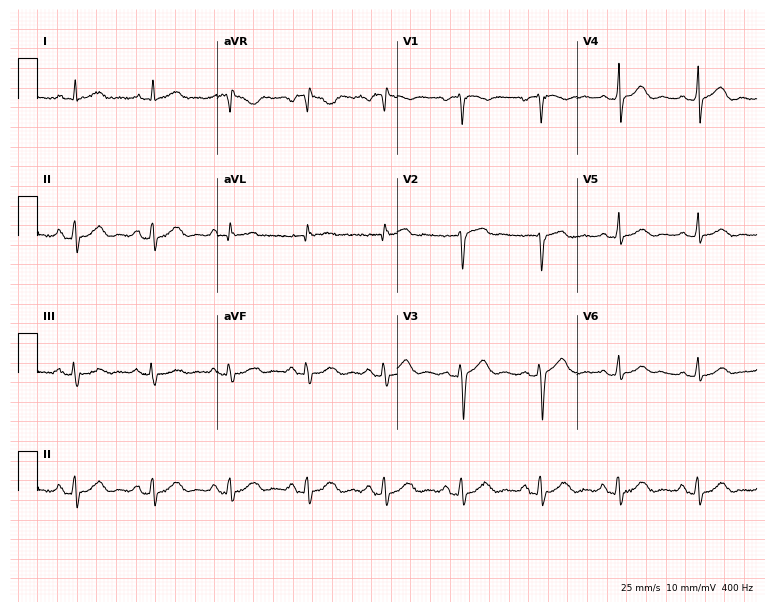
12-lead ECG from a male patient, 54 years old. Labelled as a normal ECG.